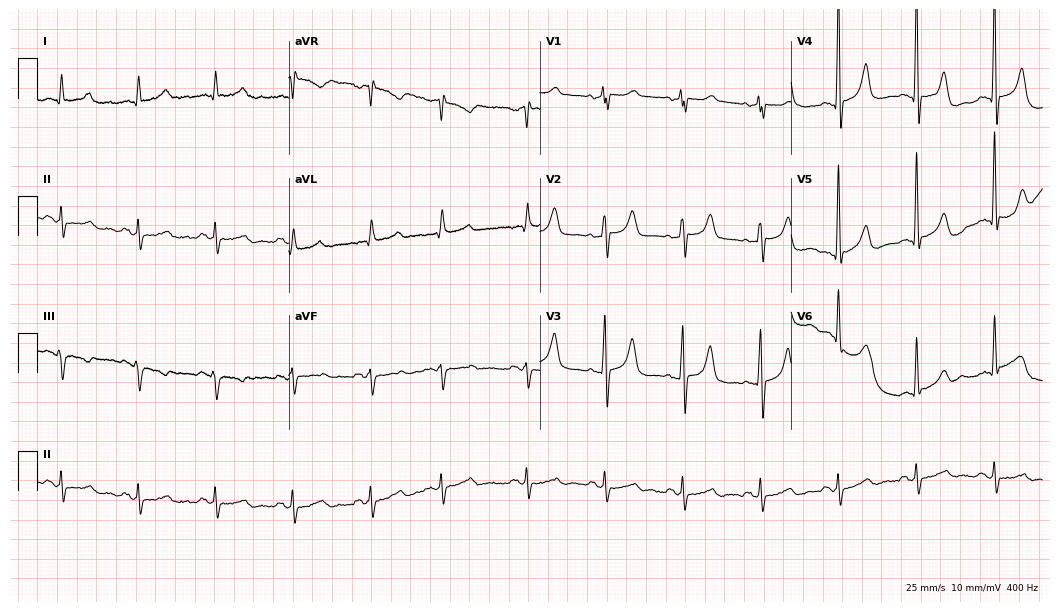
Standard 12-lead ECG recorded from a man, 73 years old (10.2-second recording at 400 Hz). None of these six findings is recorded: first-degree AV block, right bundle branch block, left bundle branch block, sinus bradycardia, atrial fibrillation, sinus tachycardia.